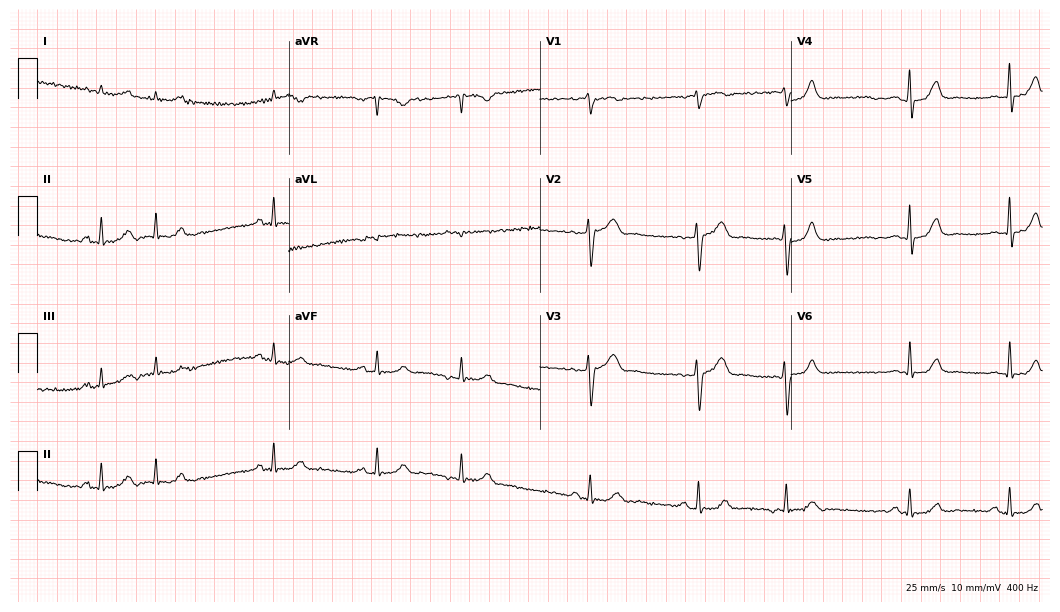
12-lead ECG from a male, 60 years old. Recorded interpretation: within normal limits.